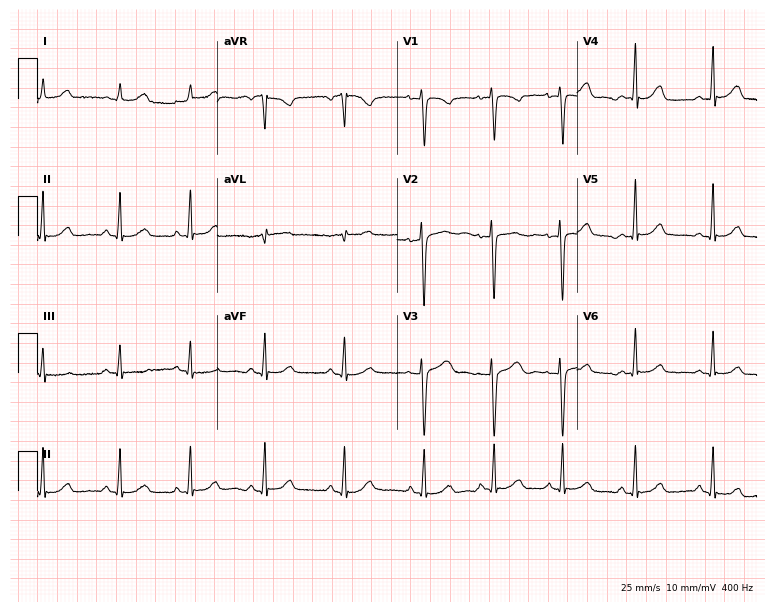
ECG (7.3-second recording at 400 Hz) — a 19-year-old female patient. Labelled as a normal ECG.